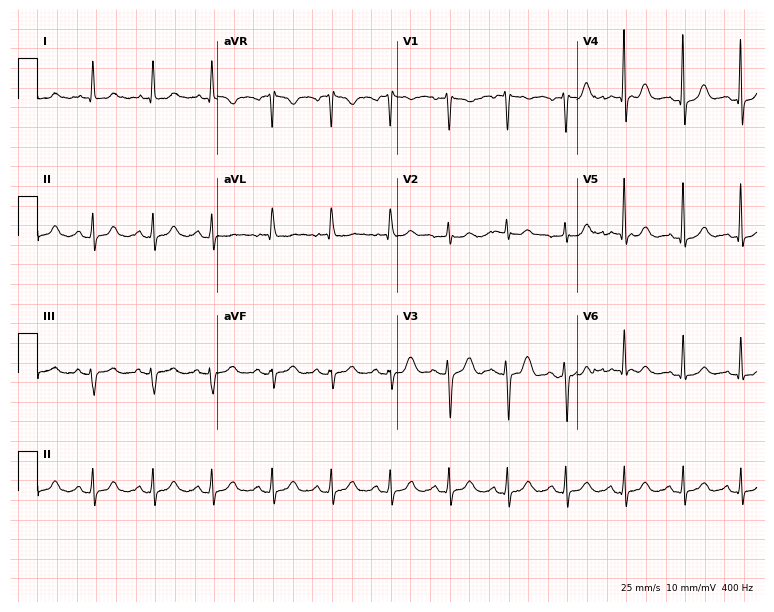
ECG — a 47-year-old female patient. Findings include sinus tachycardia (a sinus rate of 100 beats per minute or more).